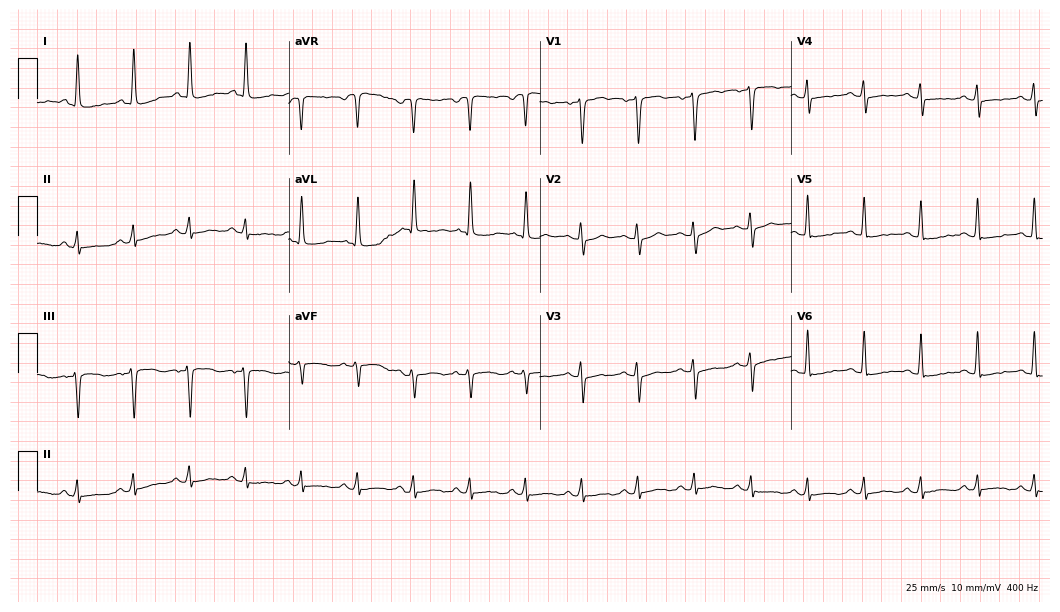
12-lead ECG (10.2-second recording at 400 Hz) from a 61-year-old female patient. Screened for six findings — first-degree AV block, right bundle branch block, left bundle branch block, sinus bradycardia, atrial fibrillation, sinus tachycardia — none is recorded.